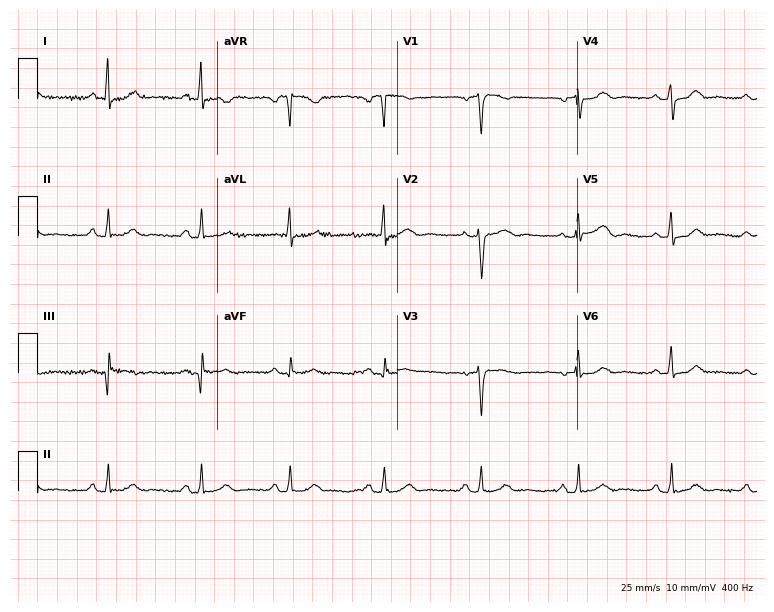
ECG (7.3-second recording at 400 Hz) — a 57-year-old woman. Labelled as a normal ECG.